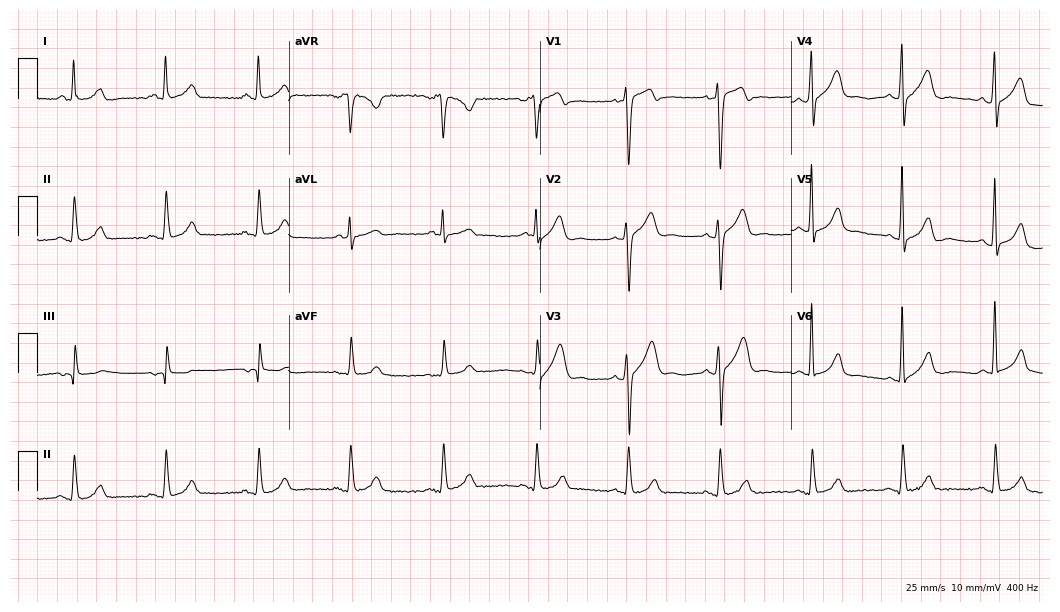
12-lead ECG from a male, 52 years old (10.2-second recording at 400 Hz). Recorded interpretation: within normal limits.